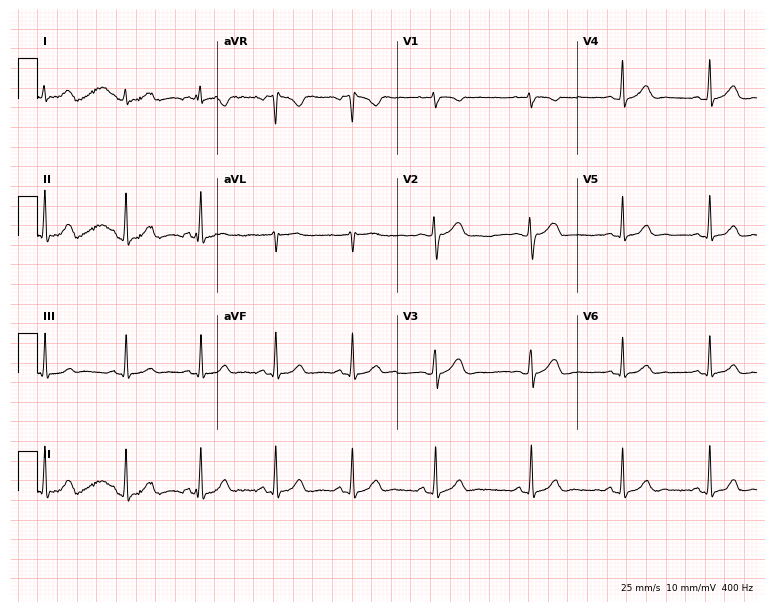
12-lead ECG from a woman, 19 years old (7.3-second recording at 400 Hz). Recorded interpretation: within normal limits.